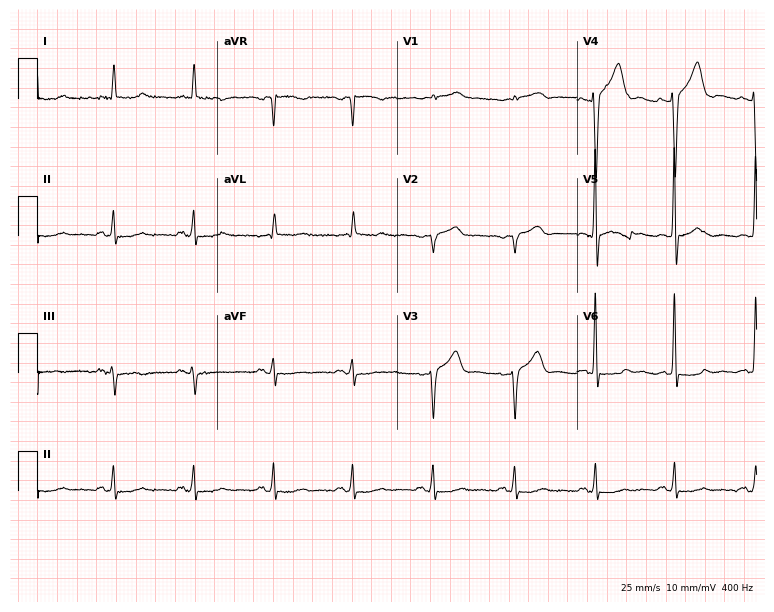
Resting 12-lead electrocardiogram. Patient: a man, 81 years old. None of these six findings is recorded: first-degree AV block, right bundle branch block, left bundle branch block, sinus bradycardia, atrial fibrillation, sinus tachycardia. Only these six findings were labelled.